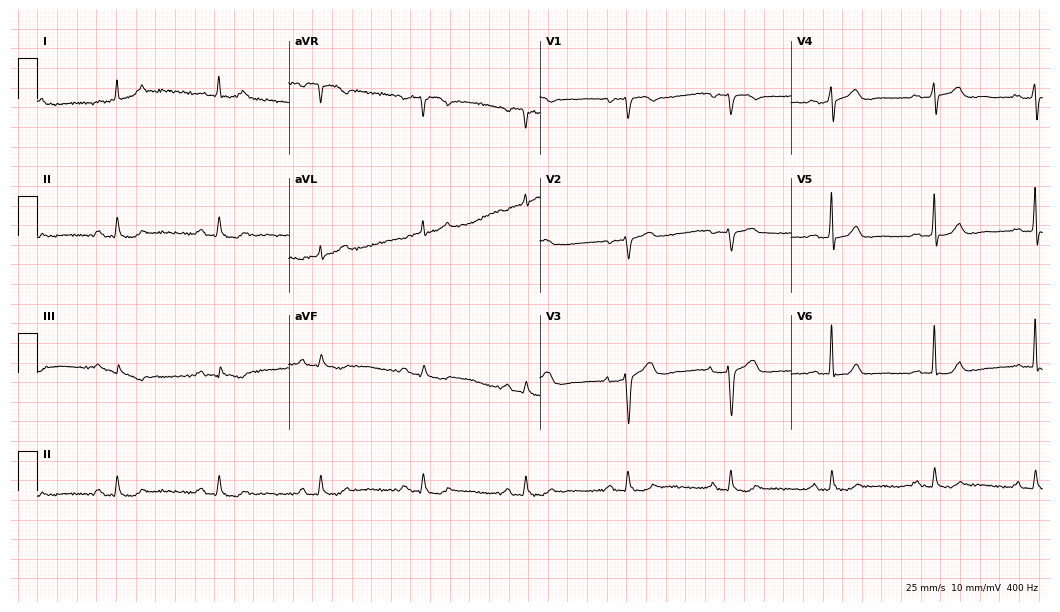
12-lead ECG from a female, 84 years old (10.2-second recording at 400 Hz). Recorded interpretation: within normal limits.